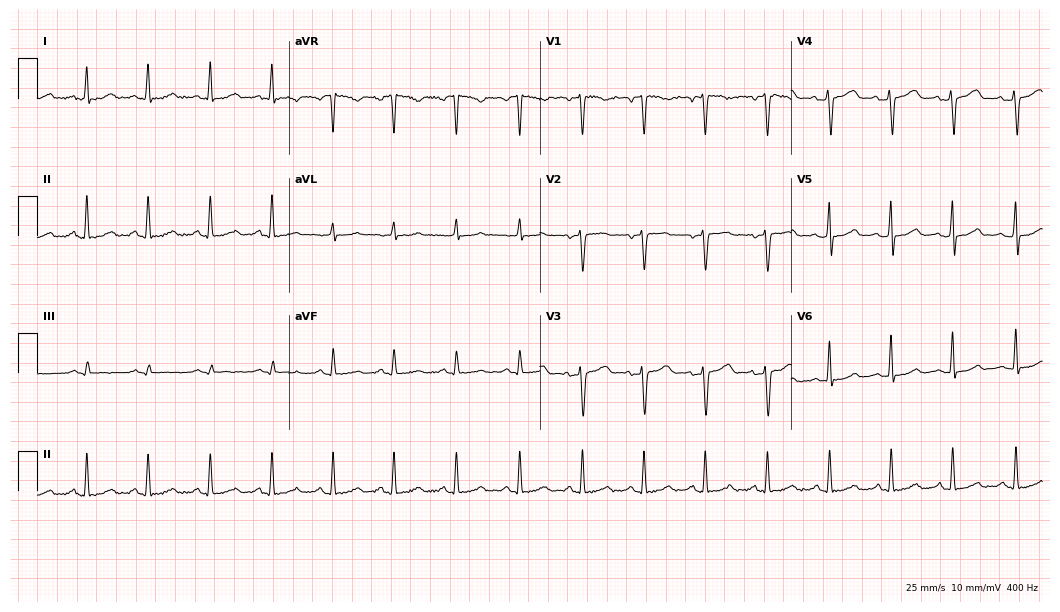
ECG (10.2-second recording at 400 Hz) — a 39-year-old woman. Labelled as a normal ECG.